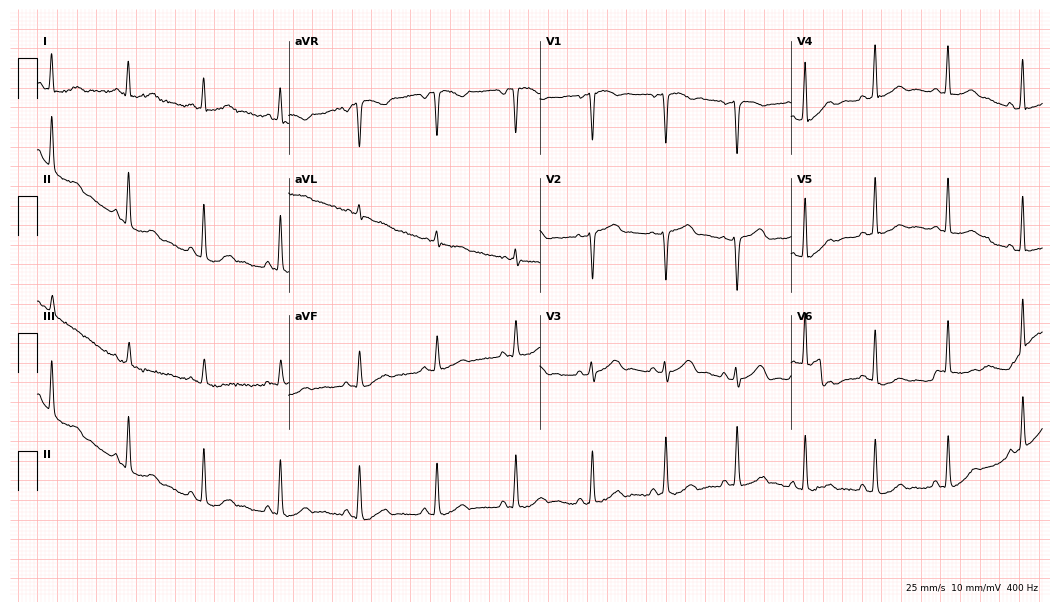
12-lead ECG (10.2-second recording at 400 Hz) from a 50-year-old female patient. Labelled as a normal ECG.